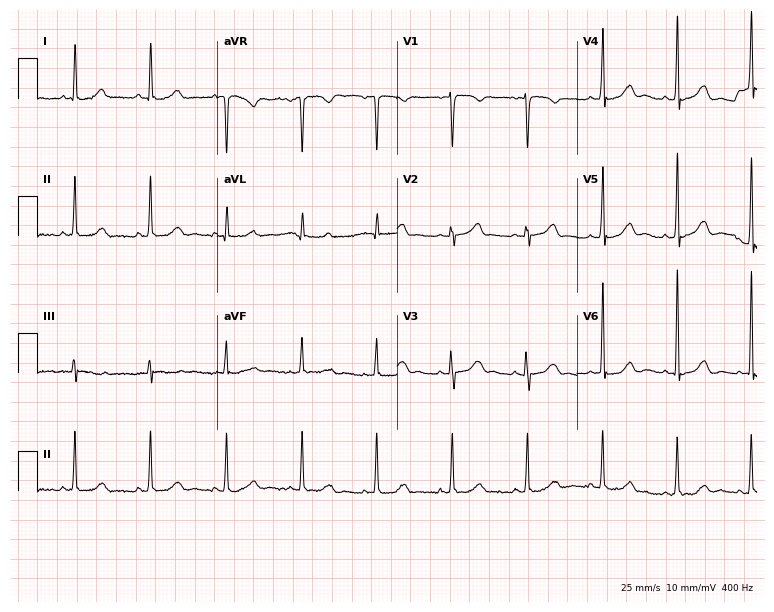
Resting 12-lead electrocardiogram (7.3-second recording at 400 Hz). Patient: a female, 46 years old. Read as a normal ECG.